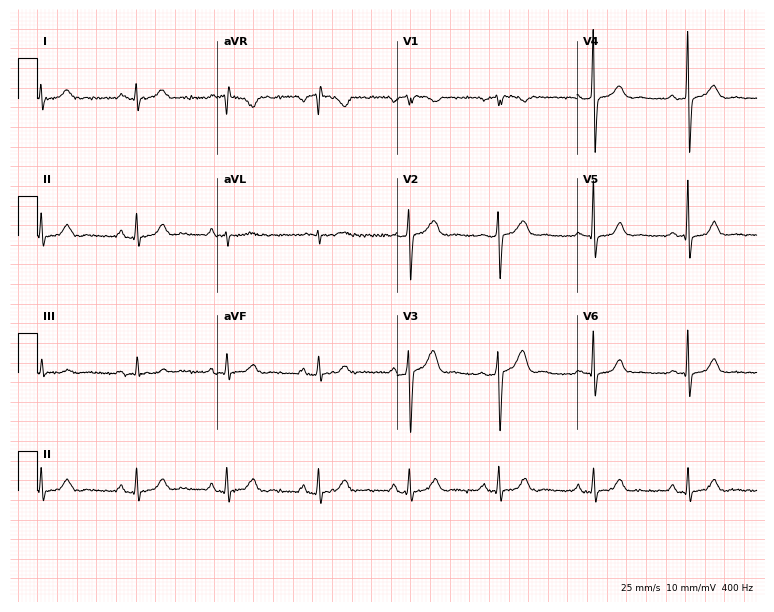
Standard 12-lead ECG recorded from a man, 57 years old (7.3-second recording at 400 Hz). Read as a normal ECG.